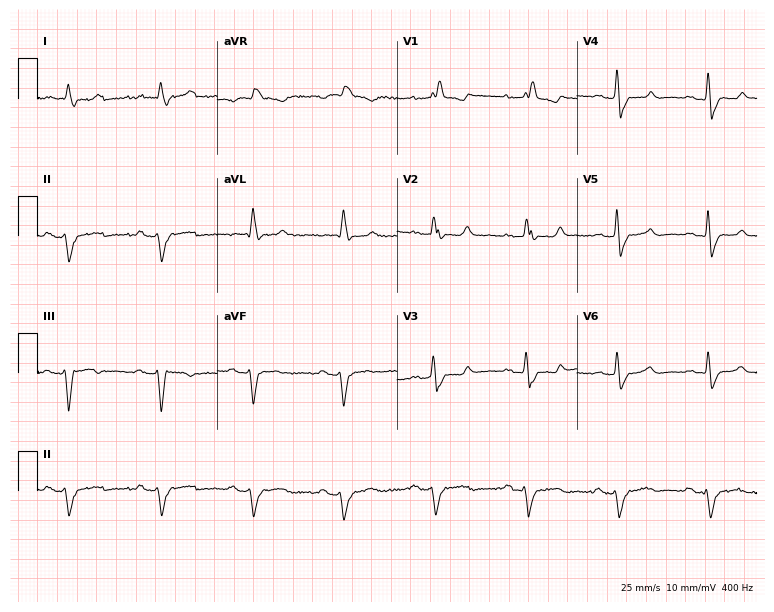
Electrocardiogram (7.3-second recording at 400 Hz), a male patient, 77 years old. Interpretation includes right bundle branch block (RBBB).